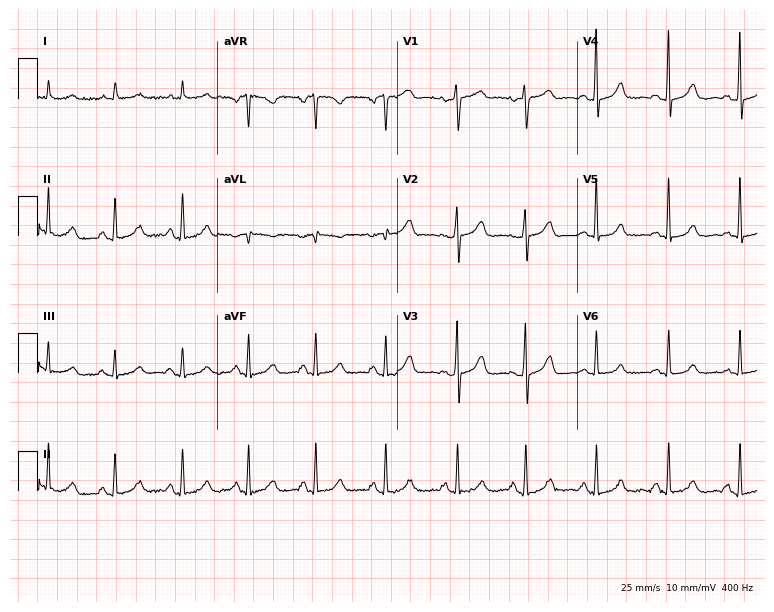
12-lead ECG (7.3-second recording at 400 Hz) from a 61-year-old female patient. Screened for six findings — first-degree AV block, right bundle branch block (RBBB), left bundle branch block (LBBB), sinus bradycardia, atrial fibrillation (AF), sinus tachycardia — none is recorded. Other findings, if any, are not listed.